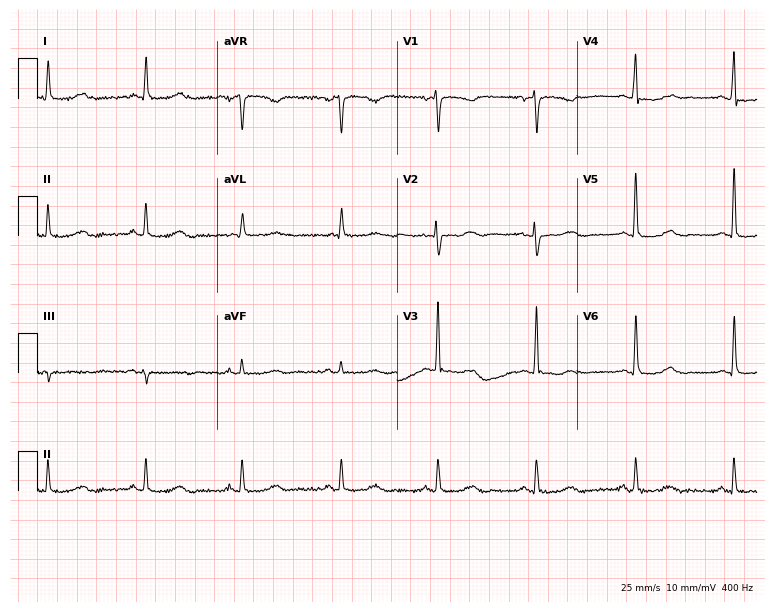
Electrocardiogram (7.3-second recording at 400 Hz), a 64-year-old female patient. Overall reading on record: normal ECG.